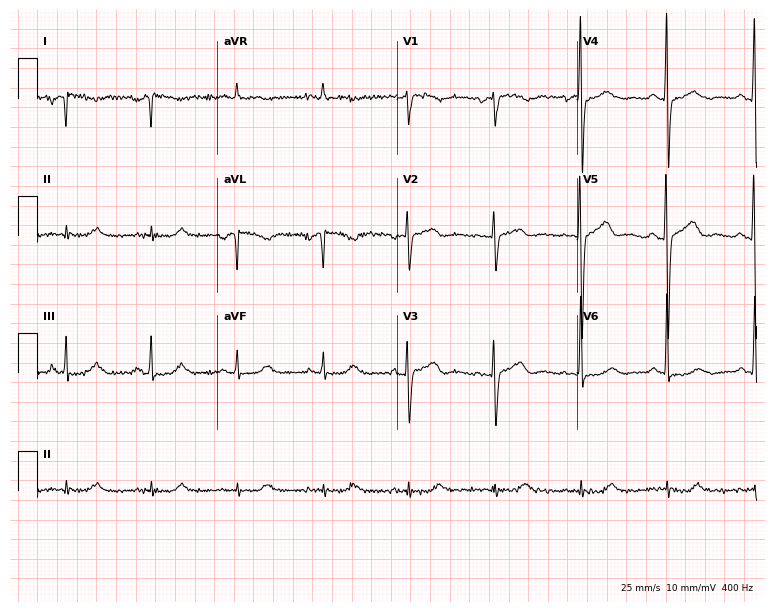
12-lead ECG from a female patient, 73 years old. No first-degree AV block, right bundle branch block, left bundle branch block, sinus bradycardia, atrial fibrillation or sinus tachycardia recorded for this tracing.